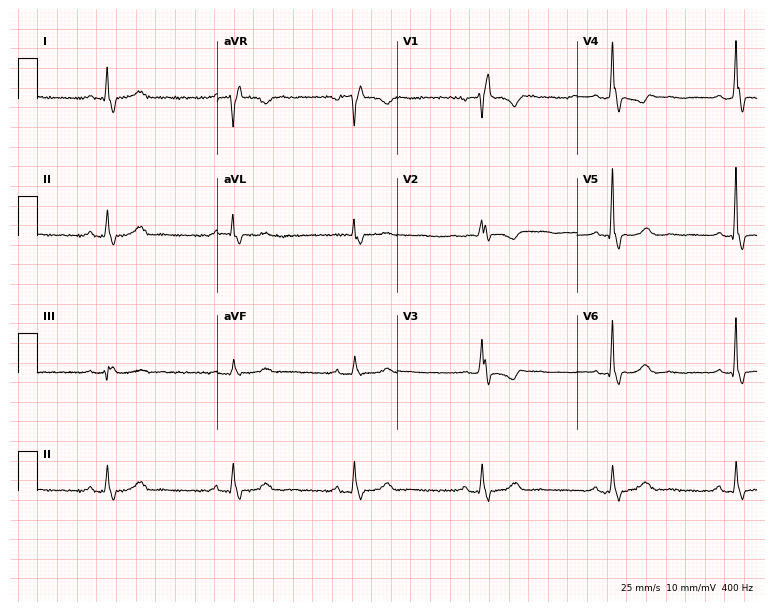
12-lead ECG (7.3-second recording at 400 Hz) from a 75-year-old female. Findings include right bundle branch block, sinus bradycardia (a sinus rate of 50 beats per minute or less).